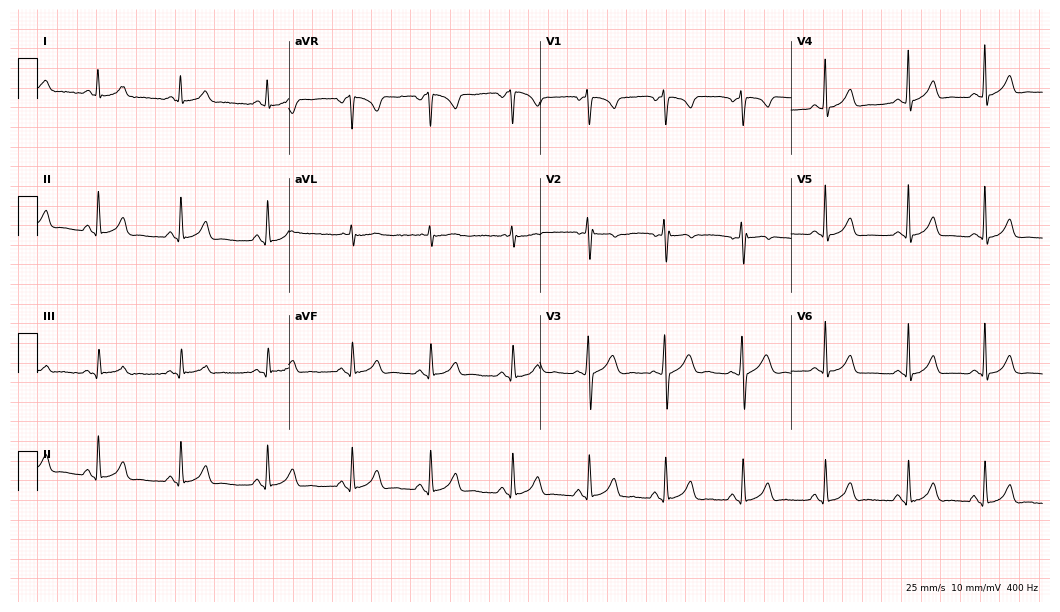
Standard 12-lead ECG recorded from a 17-year-old woman. Read as a normal ECG.